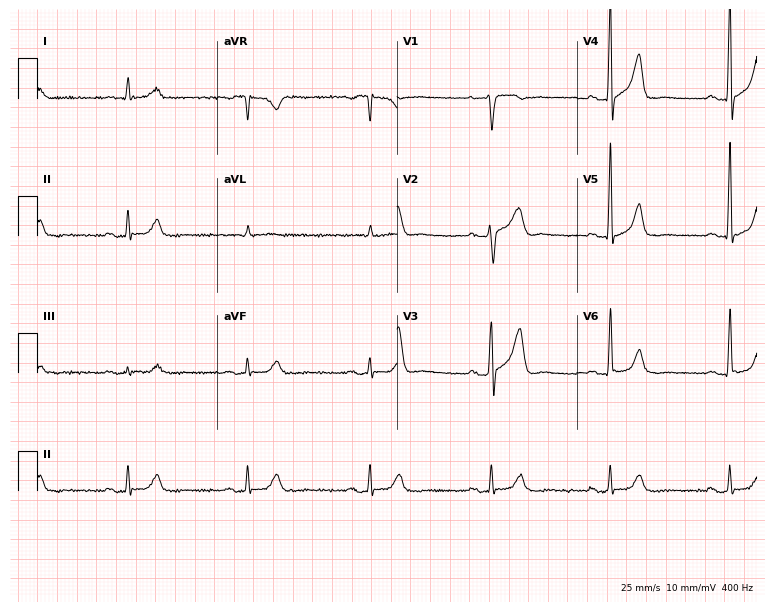
12-lead ECG from a 66-year-old male. Shows sinus bradycardia (a sinus rate of 50 beats per minute or less).